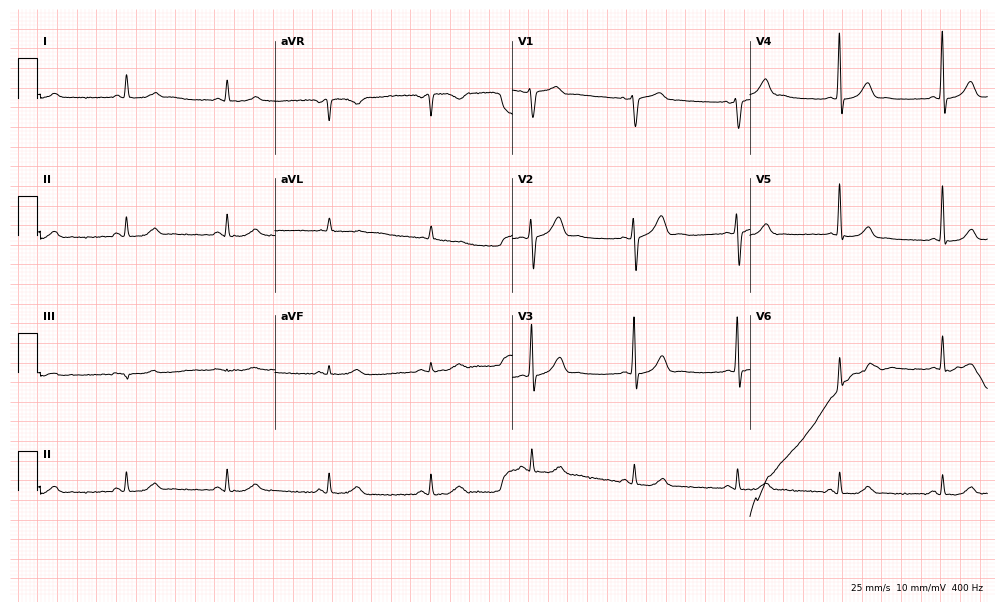
12-lead ECG from a male patient, 83 years old. Recorded interpretation: within normal limits.